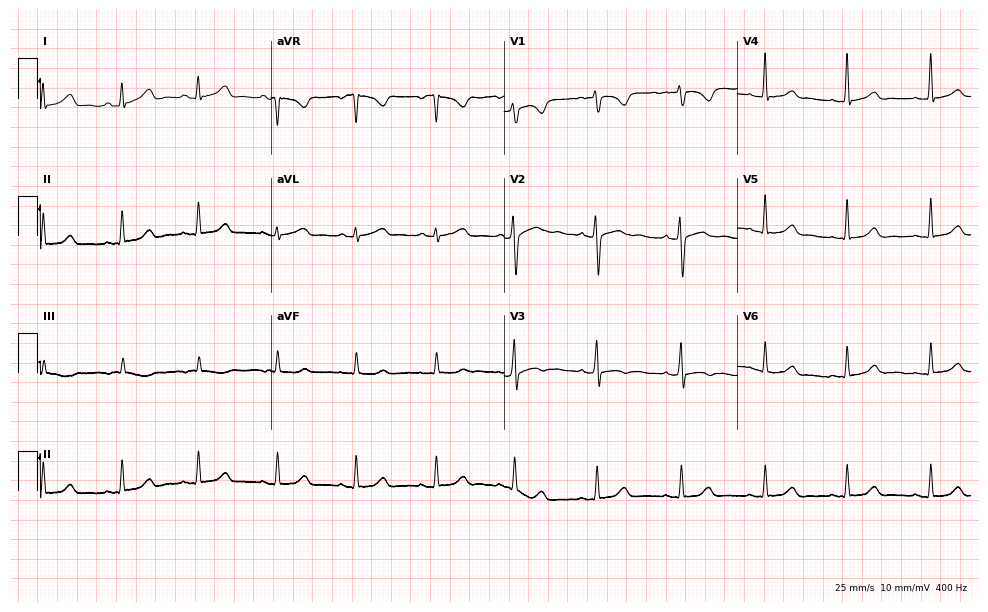
12-lead ECG (9.5-second recording at 400 Hz) from a 31-year-old female. Labelled as a normal ECG.